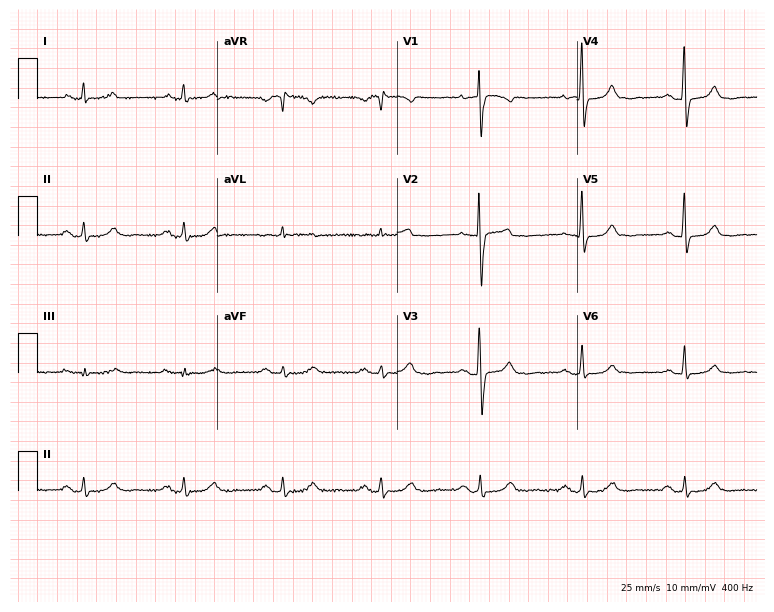
Electrocardiogram (7.3-second recording at 400 Hz), a 75-year-old woman. Of the six screened findings (first-degree AV block, right bundle branch block, left bundle branch block, sinus bradycardia, atrial fibrillation, sinus tachycardia), none is recorded.